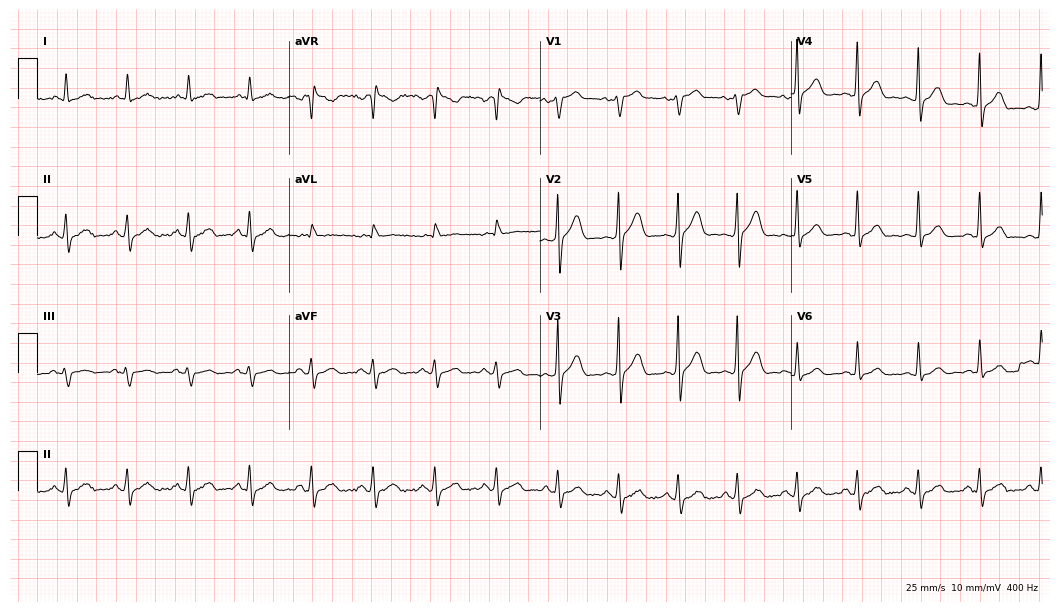
Resting 12-lead electrocardiogram. Patient: a 60-year-old male. Read as a normal ECG.